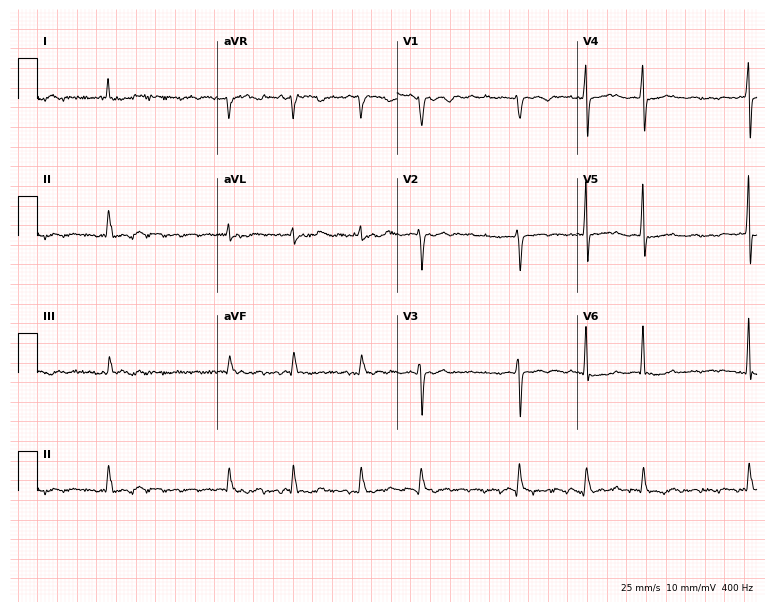
ECG (7.3-second recording at 400 Hz) — a 75-year-old female. Findings include atrial fibrillation.